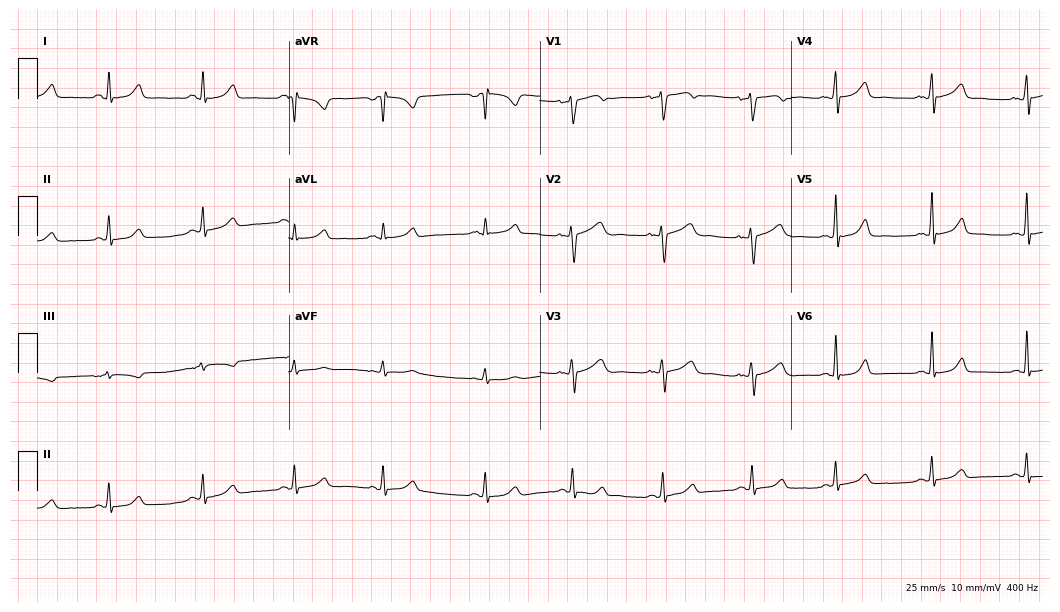
12-lead ECG from a female patient, 25 years old. Screened for six findings — first-degree AV block, right bundle branch block (RBBB), left bundle branch block (LBBB), sinus bradycardia, atrial fibrillation (AF), sinus tachycardia — none is recorded.